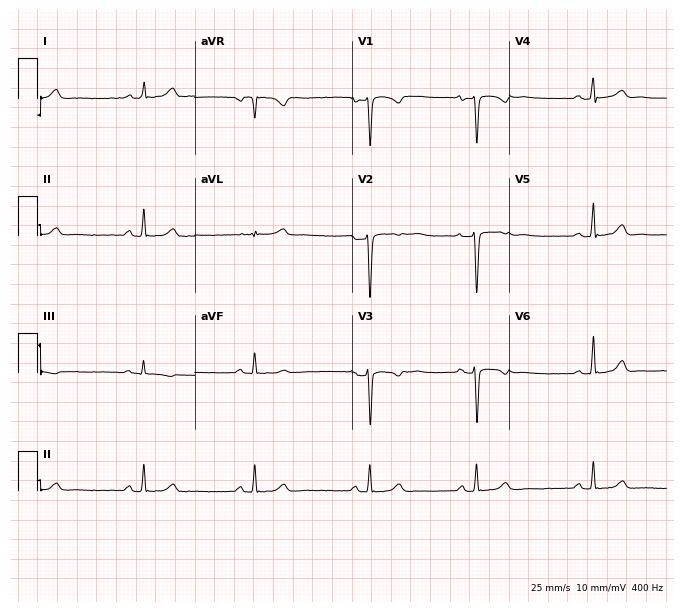
Resting 12-lead electrocardiogram. Patient: a 23-year-old woman. Read as a normal ECG.